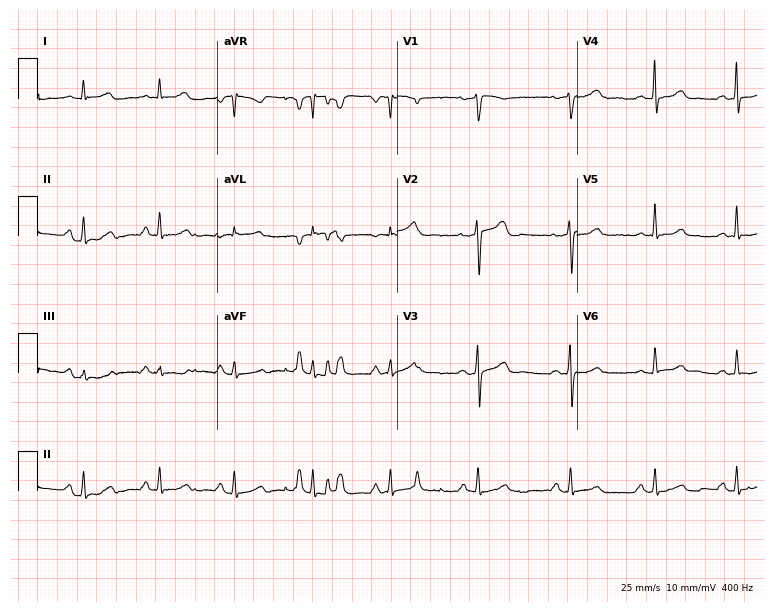
12-lead ECG from a 44-year-old female (7.3-second recording at 400 Hz). Recorded interpretation: within normal limits.